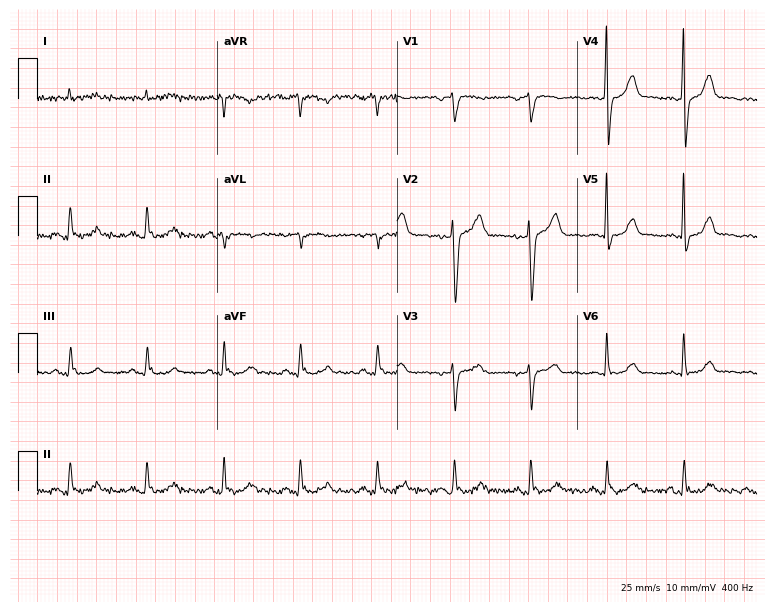
12-lead ECG (7.3-second recording at 400 Hz) from an 85-year-old male patient. Labelled as a normal ECG.